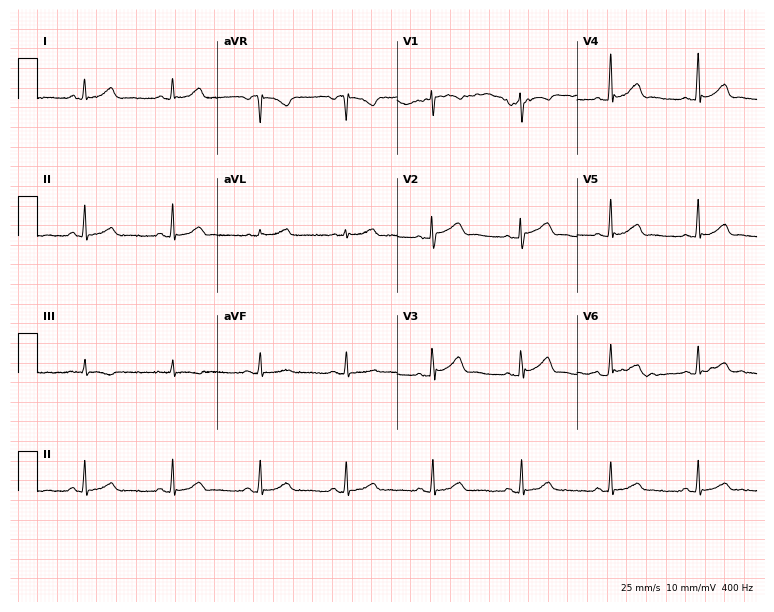
Standard 12-lead ECG recorded from a 44-year-old female patient (7.3-second recording at 400 Hz). Read as a normal ECG.